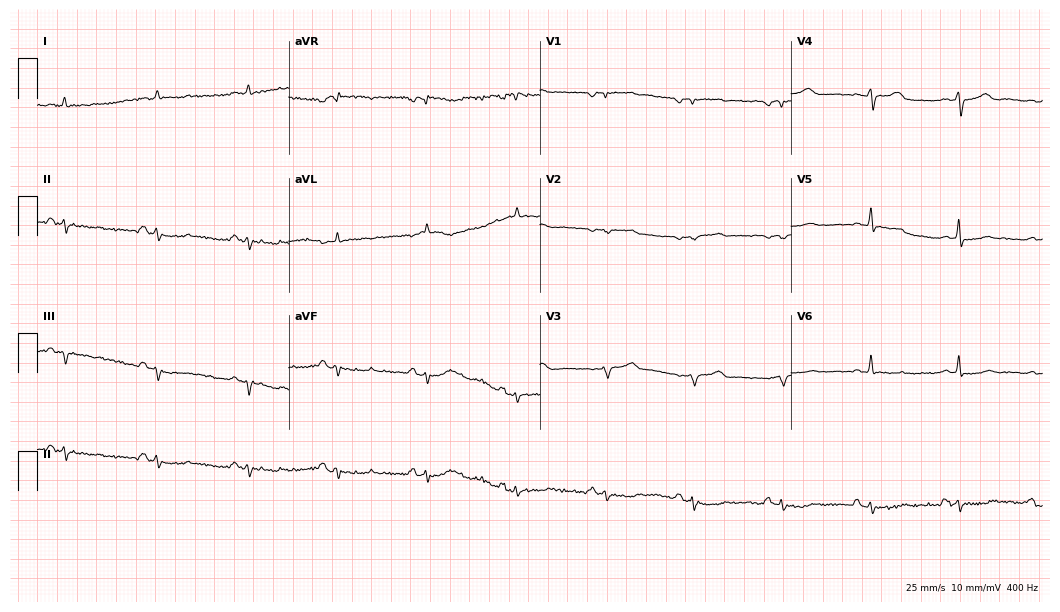
ECG (10.2-second recording at 400 Hz) — a 78-year-old male. Screened for six findings — first-degree AV block, right bundle branch block, left bundle branch block, sinus bradycardia, atrial fibrillation, sinus tachycardia — none is recorded. Only these six findings were labelled.